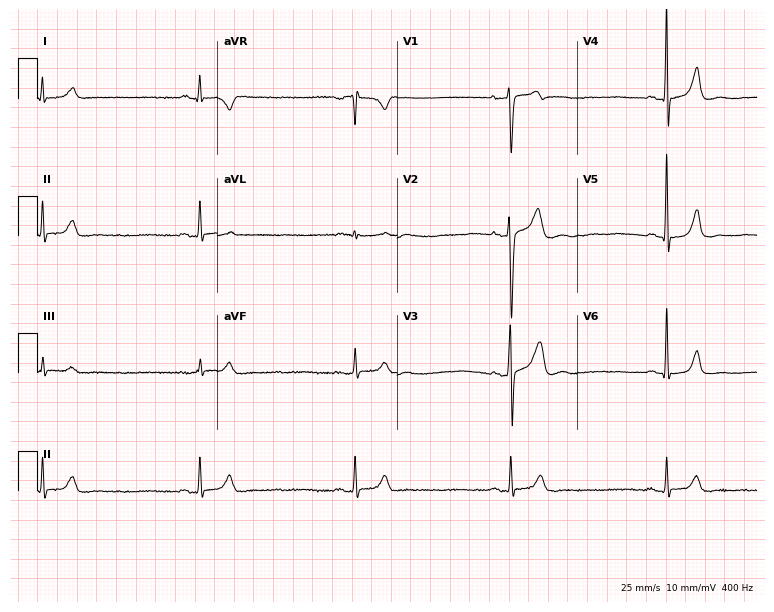
Standard 12-lead ECG recorded from a man, 30 years old. The tracing shows sinus bradycardia (a sinus rate of 50 beats per minute or less).